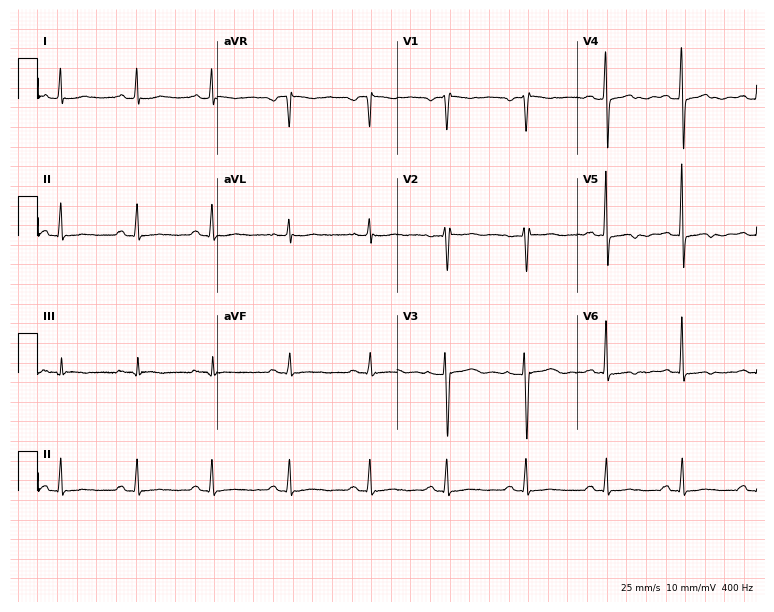
Electrocardiogram, a 58-year-old woman. Of the six screened findings (first-degree AV block, right bundle branch block (RBBB), left bundle branch block (LBBB), sinus bradycardia, atrial fibrillation (AF), sinus tachycardia), none is recorded.